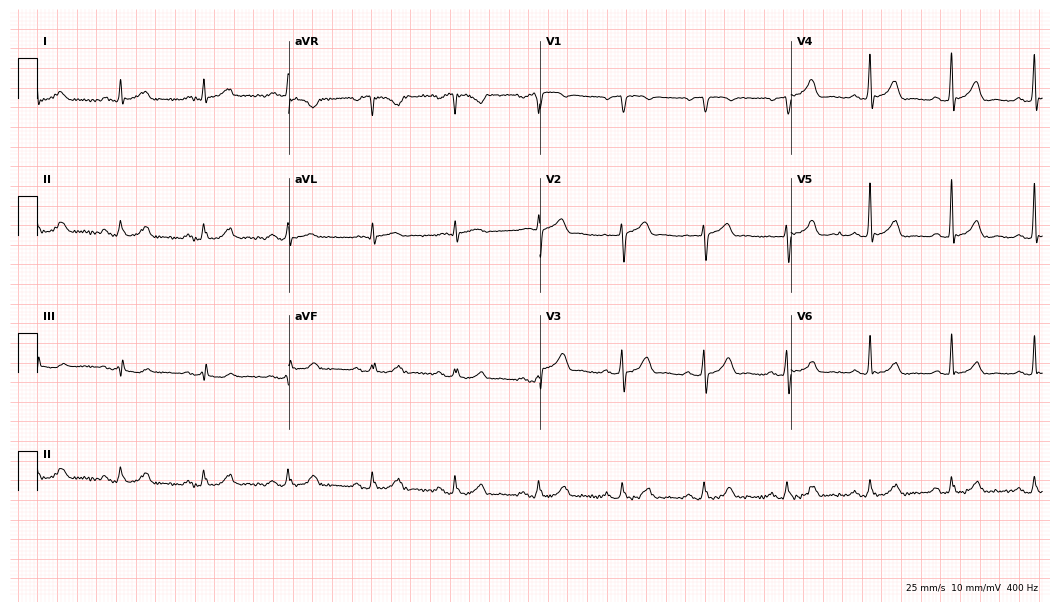
Resting 12-lead electrocardiogram. Patient: a man, 59 years old. Read as a normal ECG.